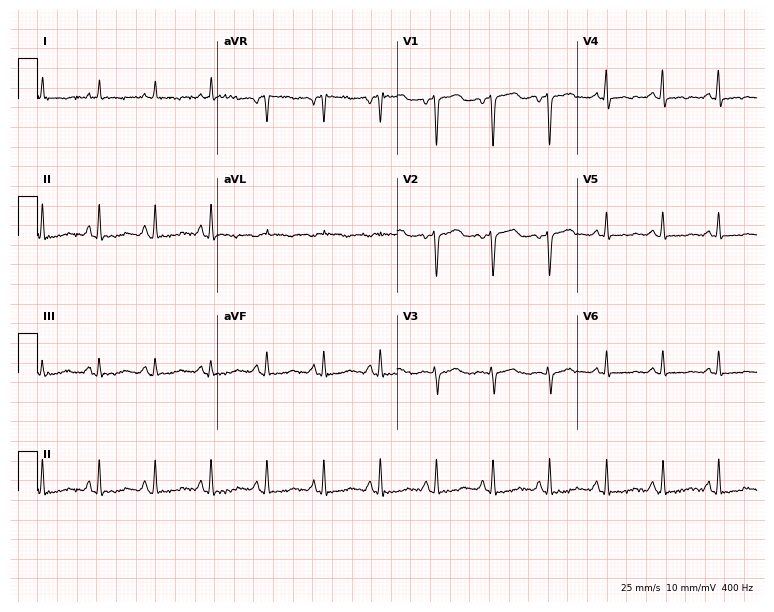
ECG (7.3-second recording at 400 Hz) — a 58-year-old female. Screened for six findings — first-degree AV block, right bundle branch block, left bundle branch block, sinus bradycardia, atrial fibrillation, sinus tachycardia — none is recorded. Other findings, if any, are not listed.